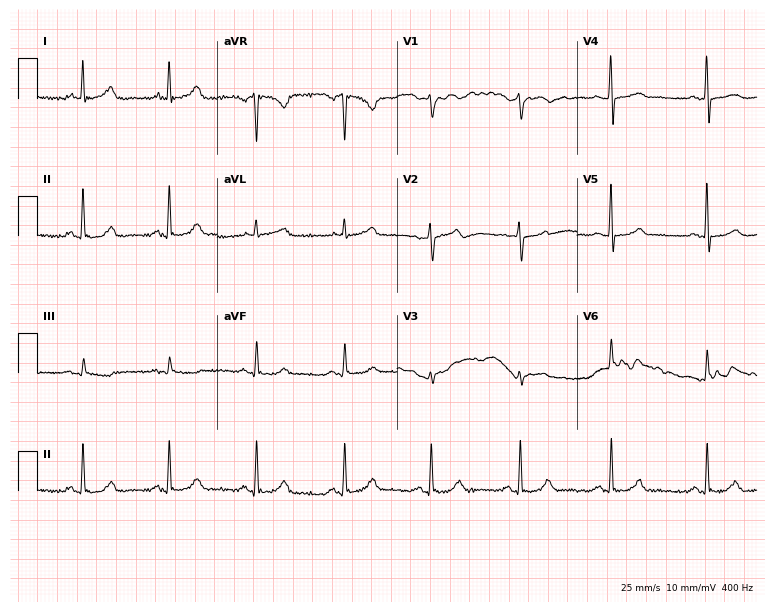
Electrocardiogram, a woman, 66 years old. Overall reading on record: normal ECG.